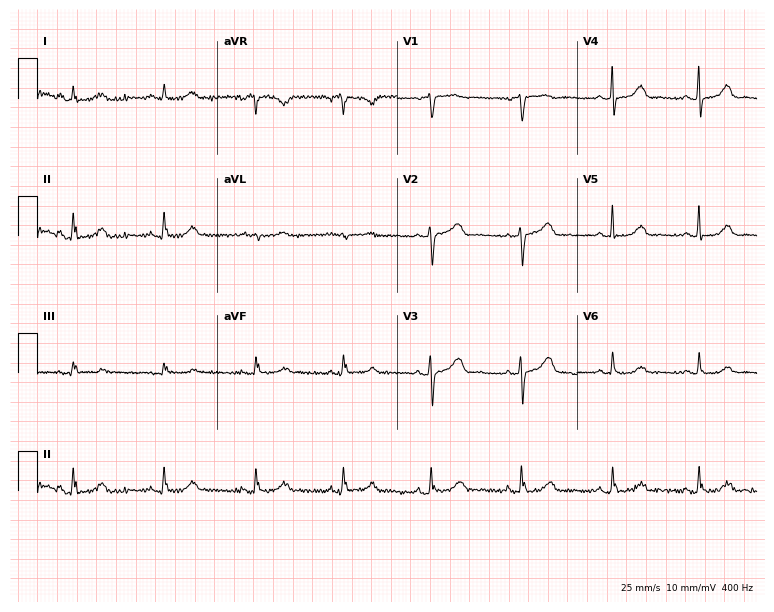
Electrocardiogram (7.3-second recording at 400 Hz), a female patient, 78 years old. Of the six screened findings (first-degree AV block, right bundle branch block, left bundle branch block, sinus bradycardia, atrial fibrillation, sinus tachycardia), none is recorded.